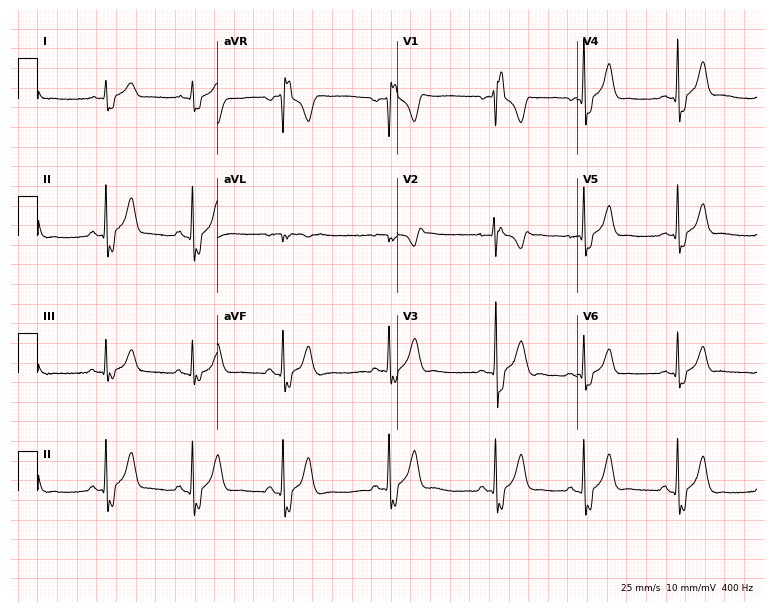
Resting 12-lead electrocardiogram (7.3-second recording at 400 Hz). Patient: a 28-year-old male. The tracing shows right bundle branch block.